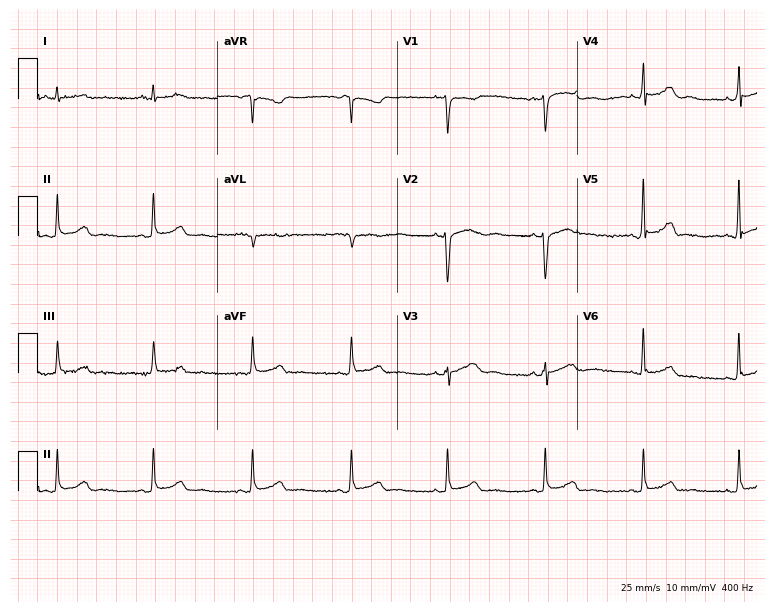
12-lead ECG from a female patient, 45 years old (7.3-second recording at 400 Hz). Recorded interpretation: within normal limits.